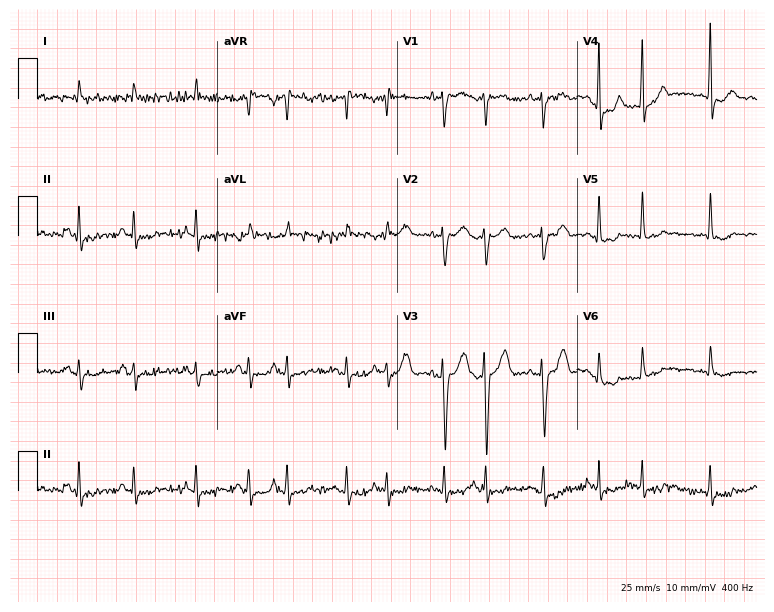
Electrocardiogram (7.3-second recording at 400 Hz), a man, 83 years old. Interpretation includes atrial fibrillation (AF).